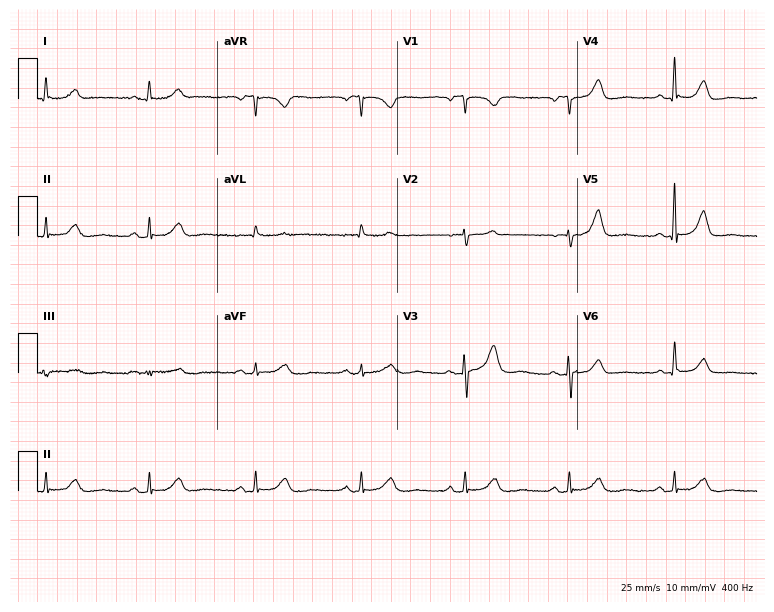
12-lead ECG from a female patient, 81 years old (7.3-second recording at 400 Hz). Recorded interpretation: within normal limits.